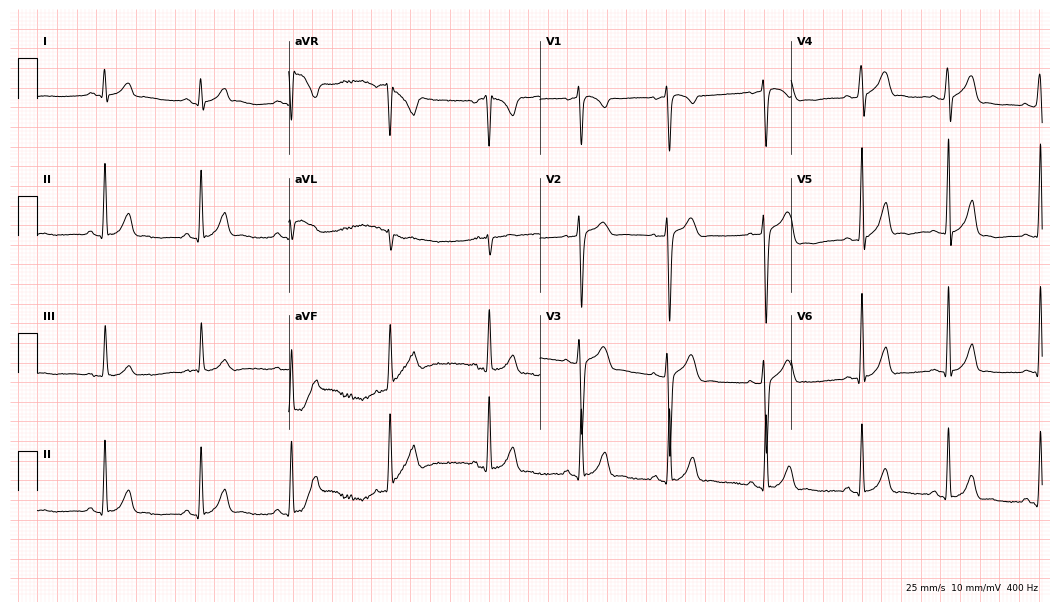
12-lead ECG from a 17-year-old male. Labelled as a normal ECG.